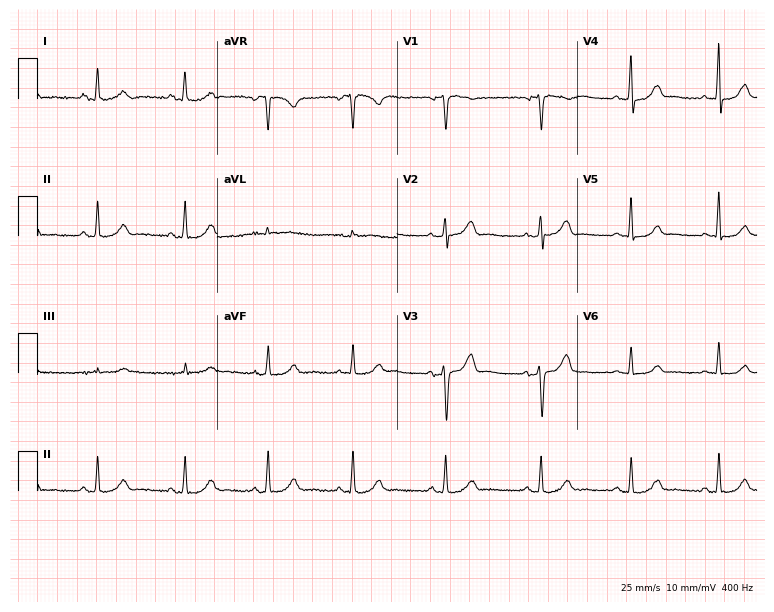
ECG — a 51-year-old female patient. Labelled as a normal ECG.